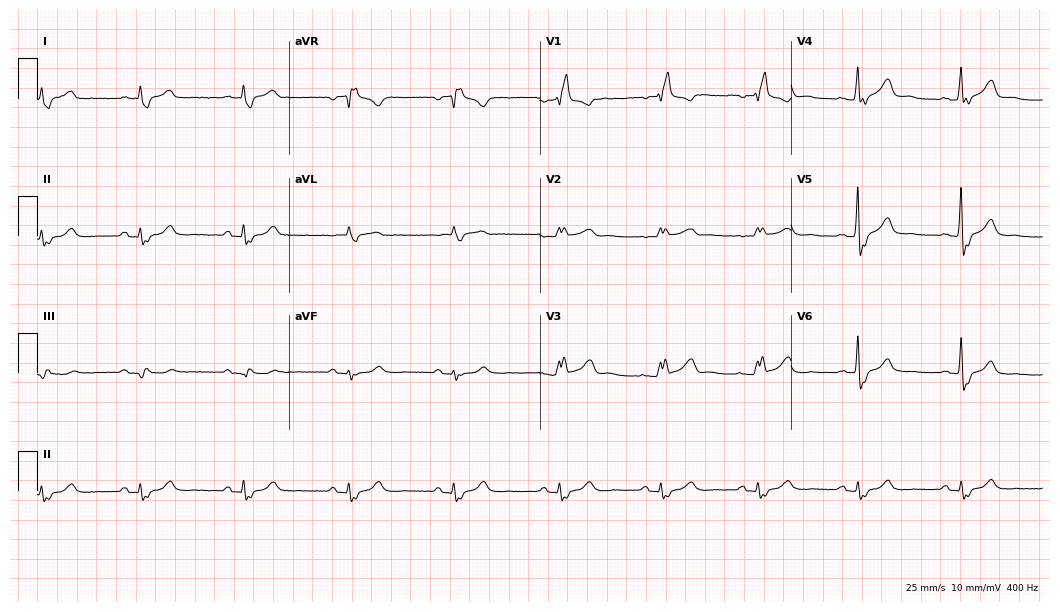
Standard 12-lead ECG recorded from a man, 54 years old. The tracing shows right bundle branch block.